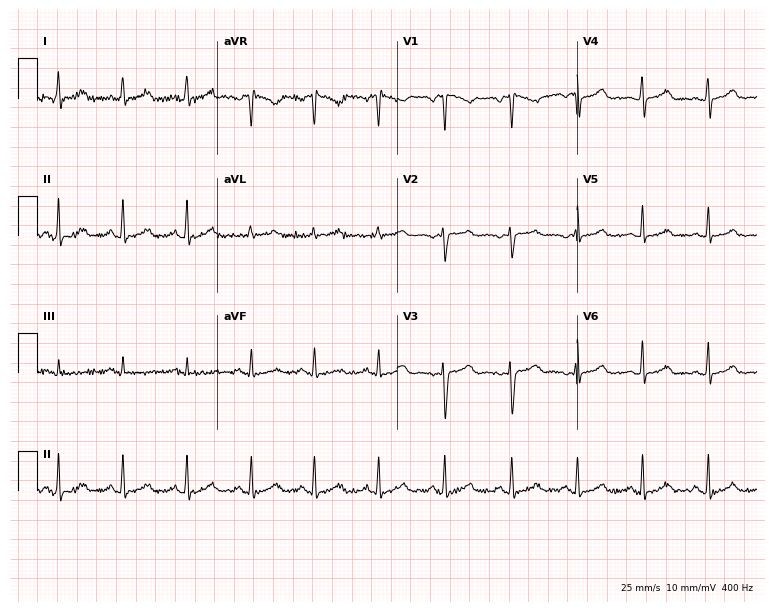
ECG — a female patient, 40 years old. Labelled as a normal ECG.